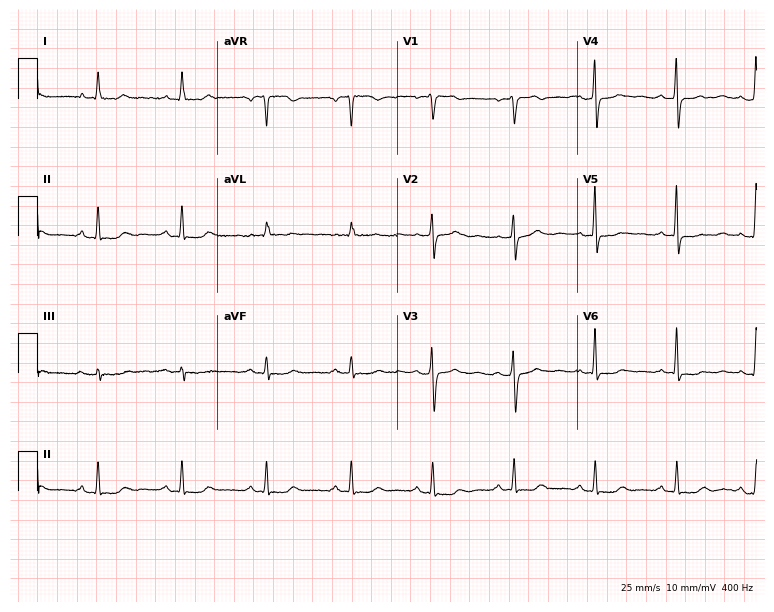
Standard 12-lead ECG recorded from a female patient, 58 years old. Read as a normal ECG.